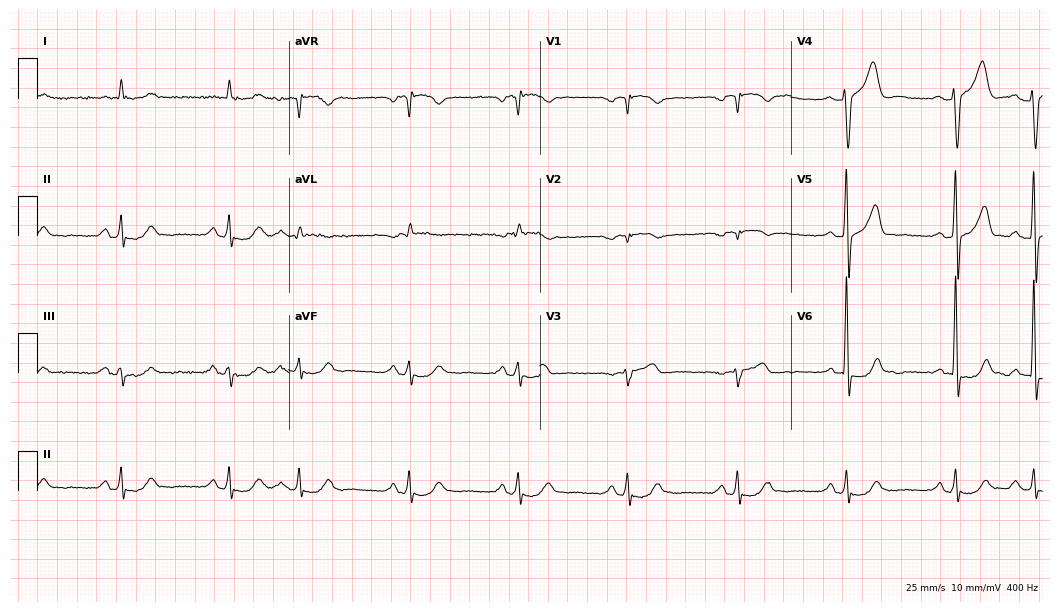
Resting 12-lead electrocardiogram. Patient: a male, 77 years old. None of these six findings is recorded: first-degree AV block, right bundle branch block (RBBB), left bundle branch block (LBBB), sinus bradycardia, atrial fibrillation (AF), sinus tachycardia. Only these six findings were labelled.